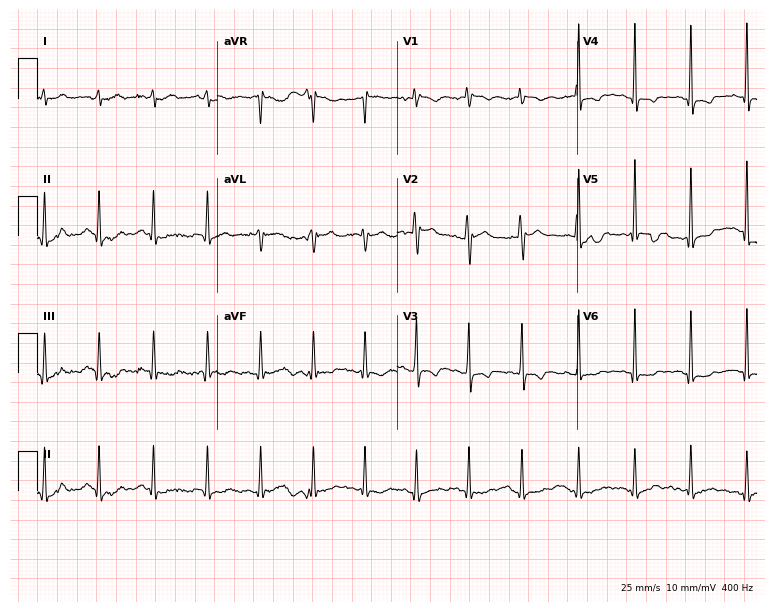
Electrocardiogram, a man, 20 years old. Of the six screened findings (first-degree AV block, right bundle branch block, left bundle branch block, sinus bradycardia, atrial fibrillation, sinus tachycardia), none is recorded. Findings outside these six are not listed.